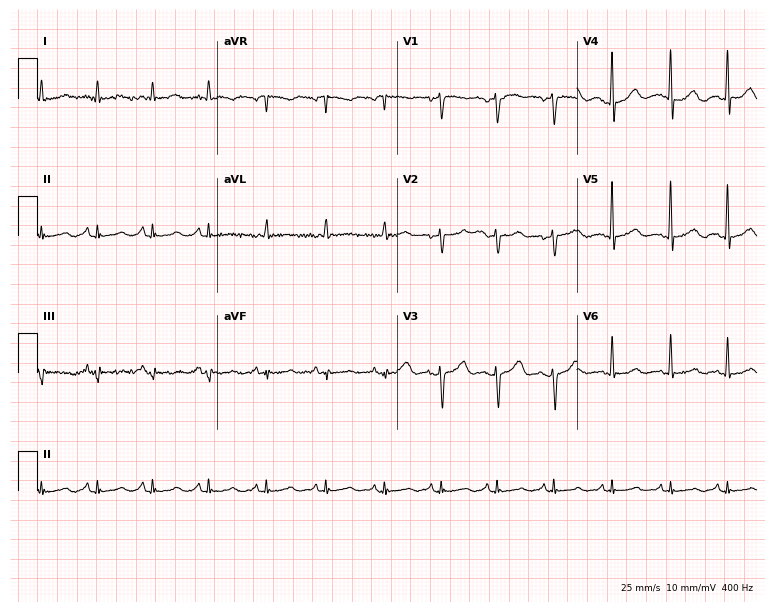
ECG — a woman, 49 years old. Findings include sinus tachycardia (a sinus rate of 100 beats per minute or more).